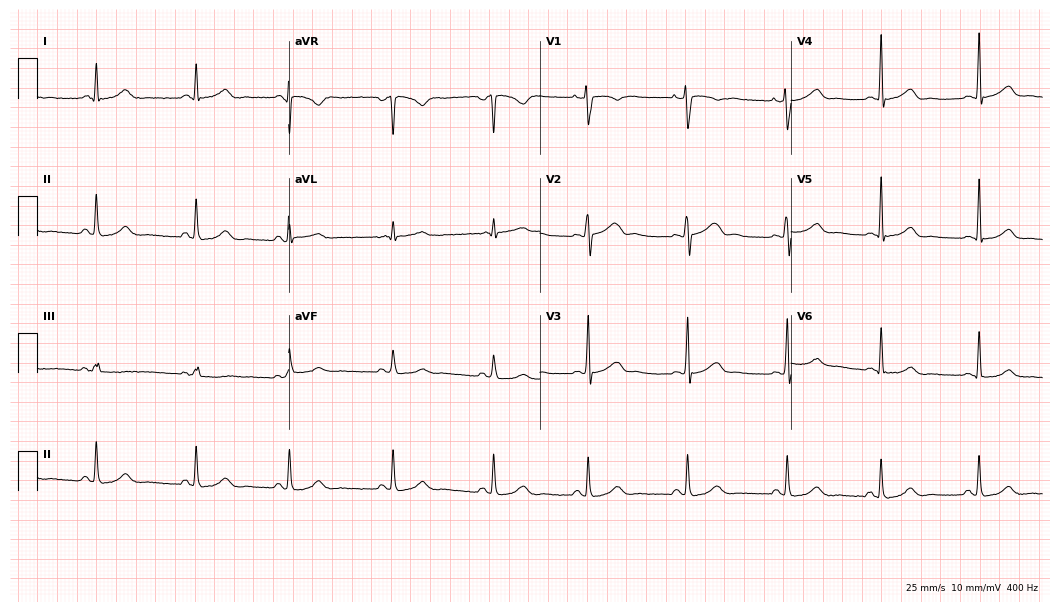
12-lead ECG (10.2-second recording at 400 Hz) from a female patient, 29 years old. Labelled as a normal ECG.